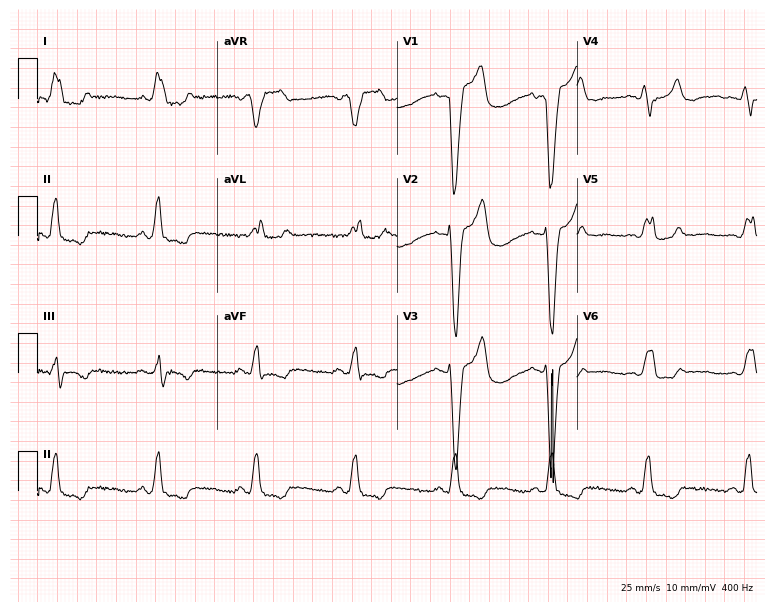
12-lead ECG (7.3-second recording at 400 Hz) from a male, 73 years old. Findings include left bundle branch block.